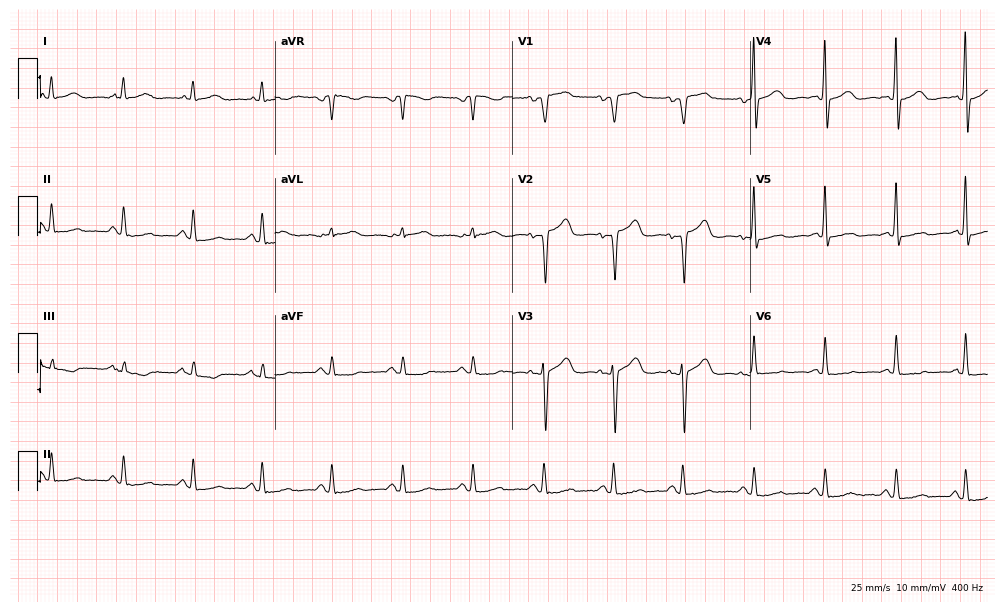
12-lead ECG from a female, 54 years old. Screened for six findings — first-degree AV block, right bundle branch block, left bundle branch block, sinus bradycardia, atrial fibrillation, sinus tachycardia — none is recorded.